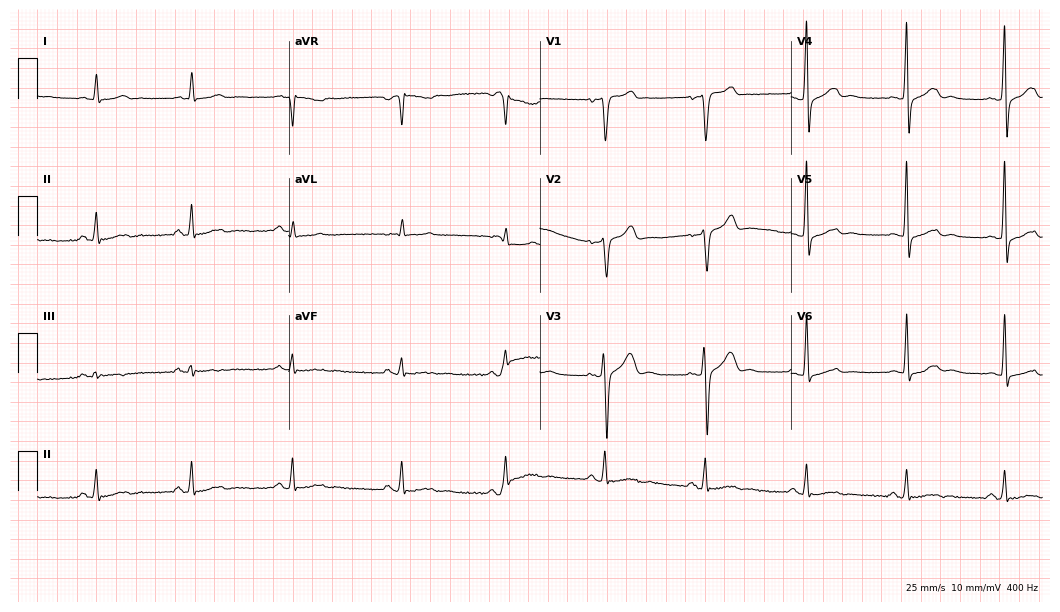
Standard 12-lead ECG recorded from a 41-year-old man. None of these six findings is recorded: first-degree AV block, right bundle branch block (RBBB), left bundle branch block (LBBB), sinus bradycardia, atrial fibrillation (AF), sinus tachycardia. Findings outside these six are not listed.